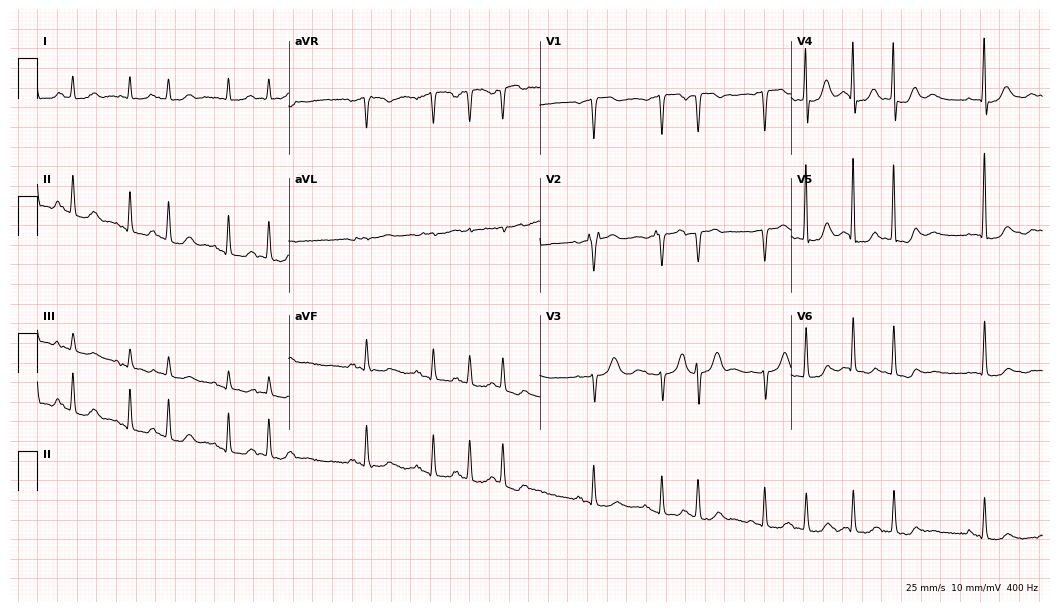
12-lead ECG from an 81-year-old female patient (10.2-second recording at 400 Hz). No first-degree AV block, right bundle branch block, left bundle branch block, sinus bradycardia, atrial fibrillation or sinus tachycardia recorded for this tracing. Findings outside these six are not listed.